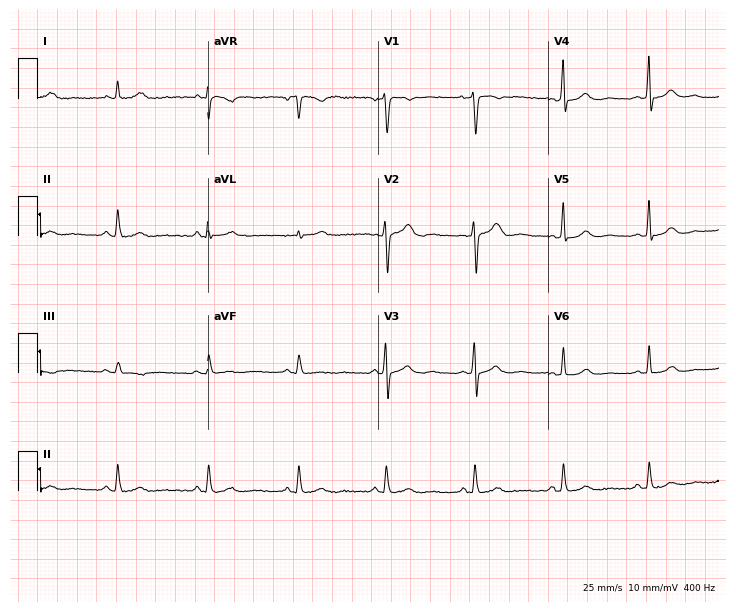
12-lead ECG from a female patient, 30 years old. No first-degree AV block, right bundle branch block, left bundle branch block, sinus bradycardia, atrial fibrillation or sinus tachycardia recorded for this tracing. Only these six findings were labelled.